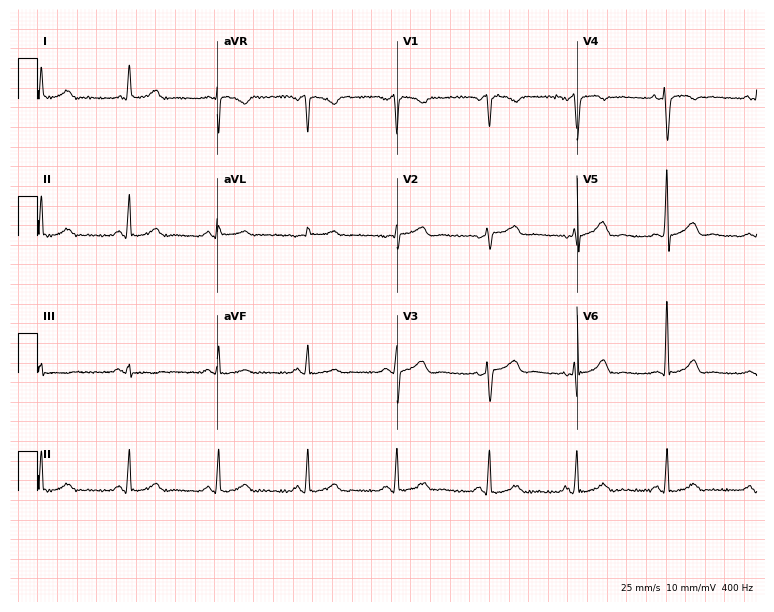
ECG (7.3-second recording at 400 Hz) — a 52-year-old woman. Labelled as a normal ECG.